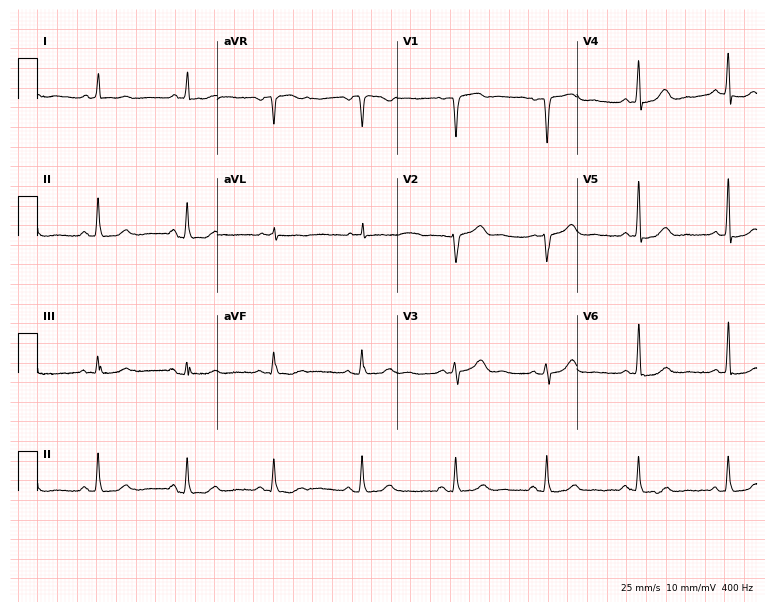
12-lead ECG from a woman, 49 years old (7.3-second recording at 400 Hz). No first-degree AV block, right bundle branch block, left bundle branch block, sinus bradycardia, atrial fibrillation or sinus tachycardia recorded for this tracing.